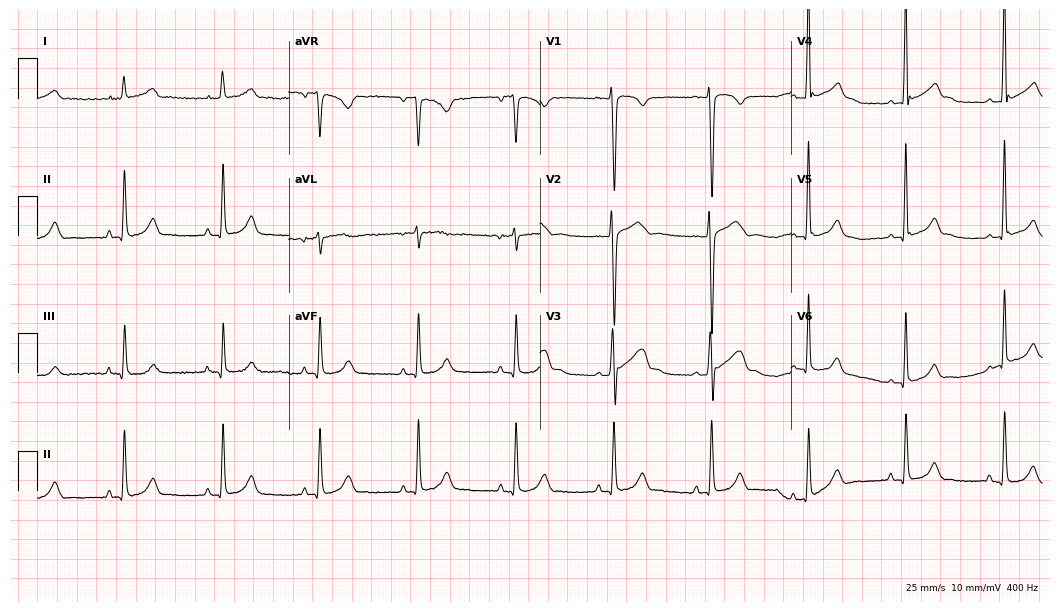
Standard 12-lead ECG recorded from a male, 20 years old. Read as a normal ECG.